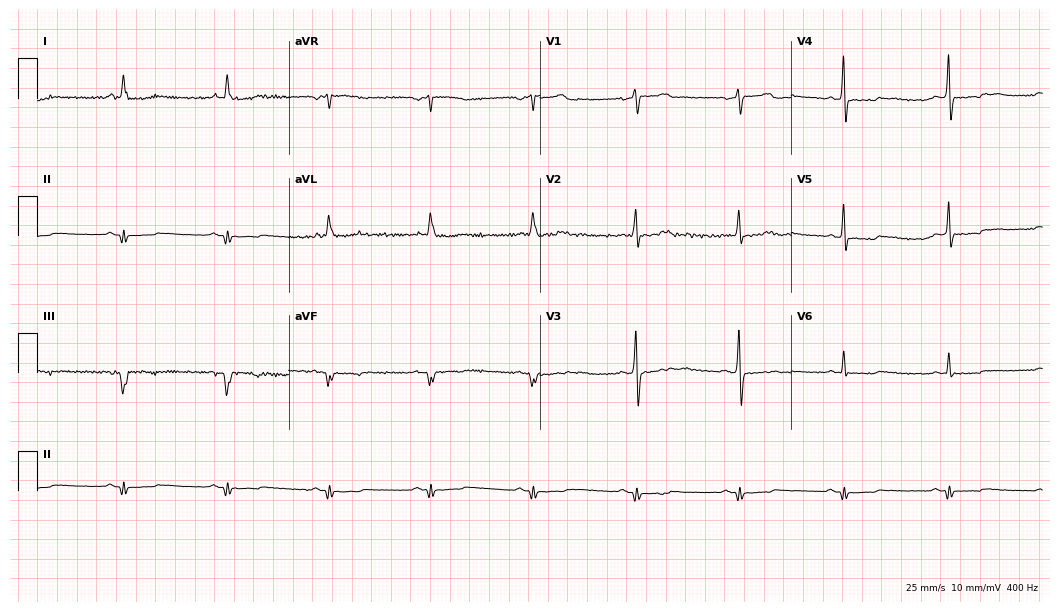
ECG (10.2-second recording at 400 Hz) — a man, 71 years old. Screened for six findings — first-degree AV block, right bundle branch block (RBBB), left bundle branch block (LBBB), sinus bradycardia, atrial fibrillation (AF), sinus tachycardia — none is recorded.